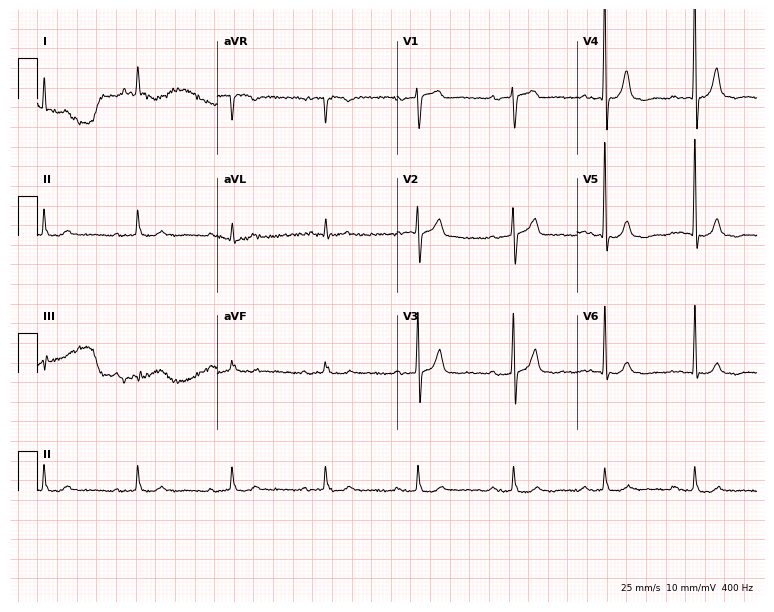
Resting 12-lead electrocardiogram (7.3-second recording at 400 Hz). Patient: an 81-year-old male. None of these six findings is recorded: first-degree AV block, right bundle branch block, left bundle branch block, sinus bradycardia, atrial fibrillation, sinus tachycardia.